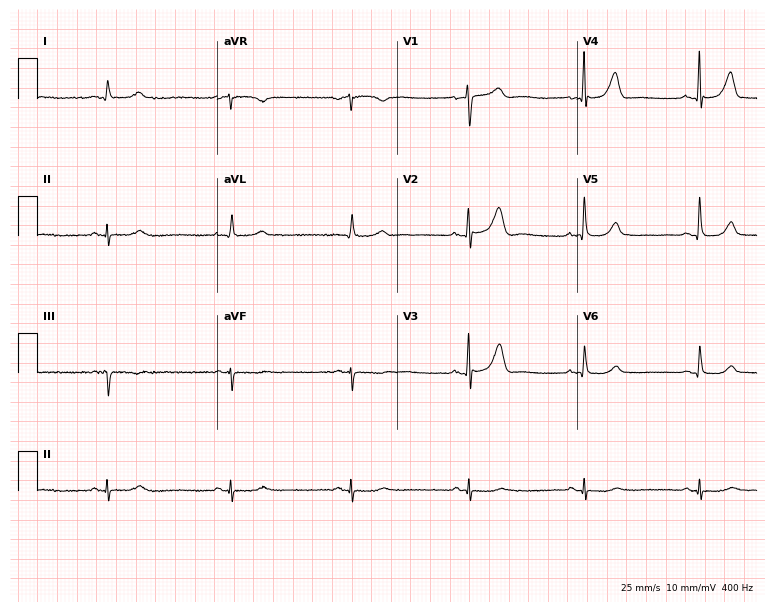
ECG (7.3-second recording at 400 Hz) — a man, 69 years old. Findings include sinus bradycardia (a sinus rate of 50 beats per minute or less).